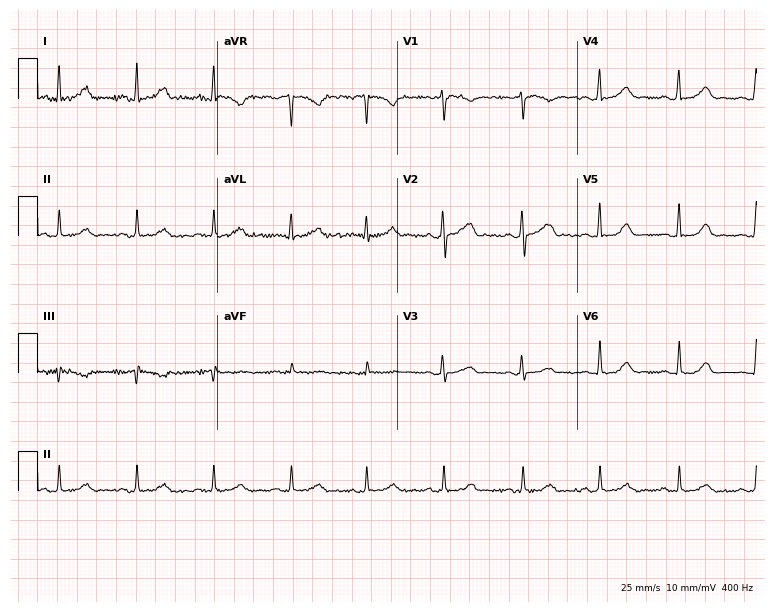
Electrocardiogram, a female patient, 30 years old. Overall reading on record: normal ECG.